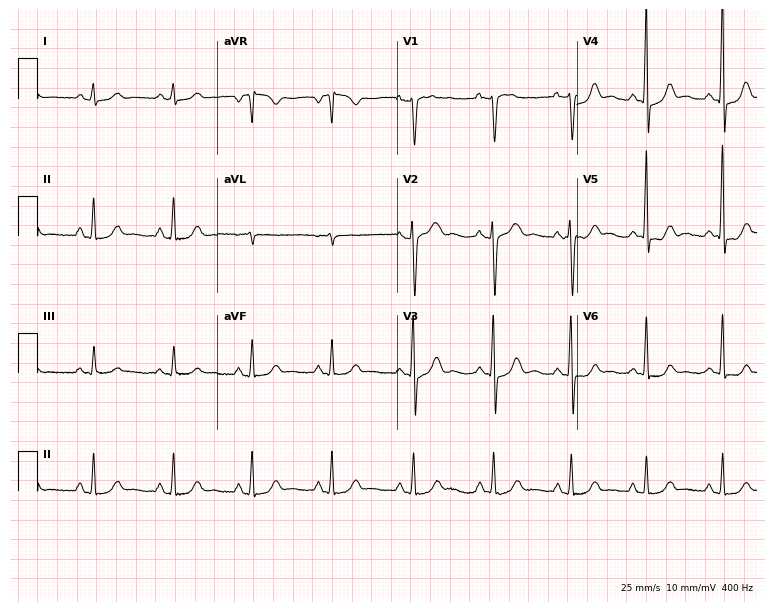
Electrocardiogram, a woman, 44 years old. Overall reading on record: normal ECG.